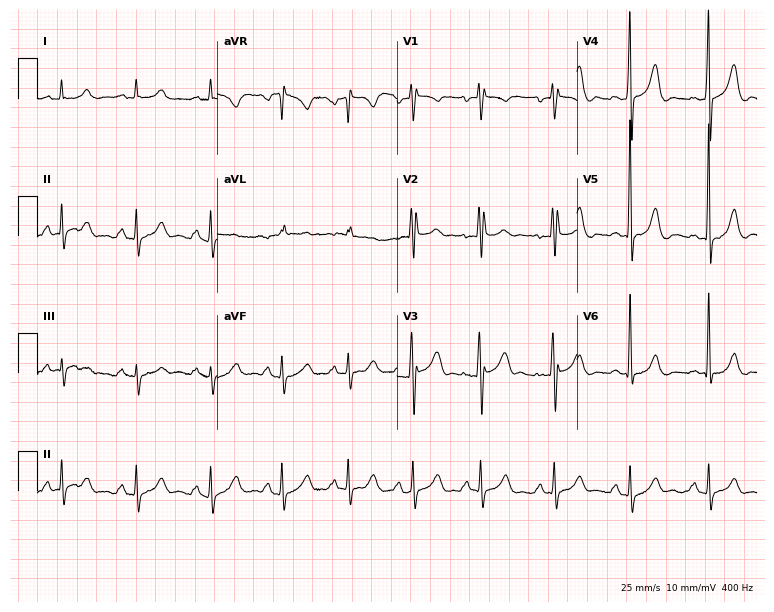
Standard 12-lead ECG recorded from a male patient, 46 years old. None of these six findings is recorded: first-degree AV block, right bundle branch block, left bundle branch block, sinus bradycardia, atrial fibrillation, sinus tachycardia.